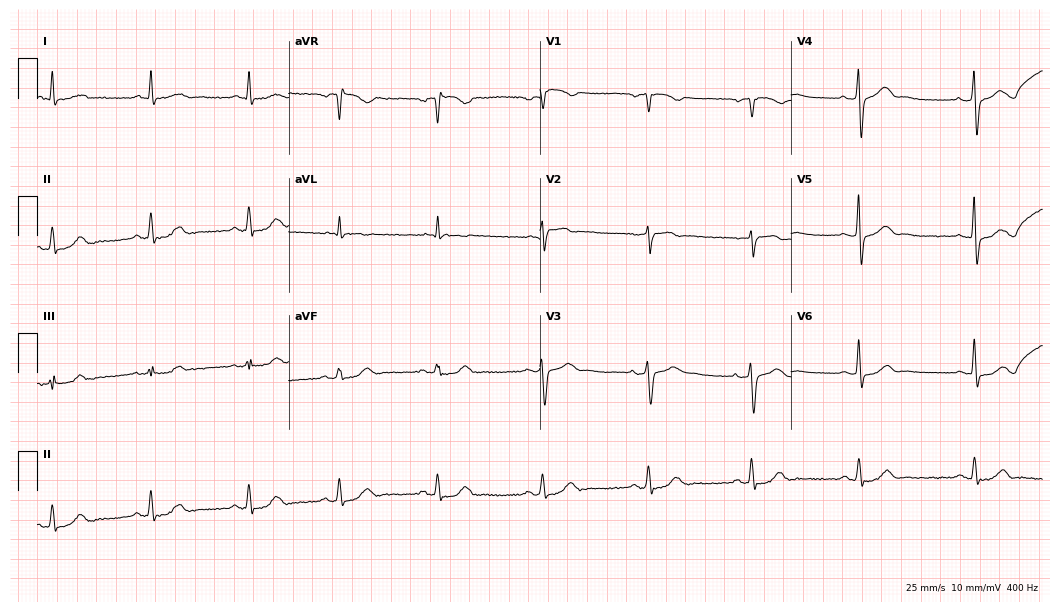
12-lead ECG (10.2-second recording at 400 Hz) from a male, 73 years old. Screened for six findings — first-degree AV block, right bundle branch block (RBBB), left bundle branch block (LBBB), sinus bradycardia, atrial fibrillation (AF), sinus tachycardia — none is recorded. Only these six findings were labelled.